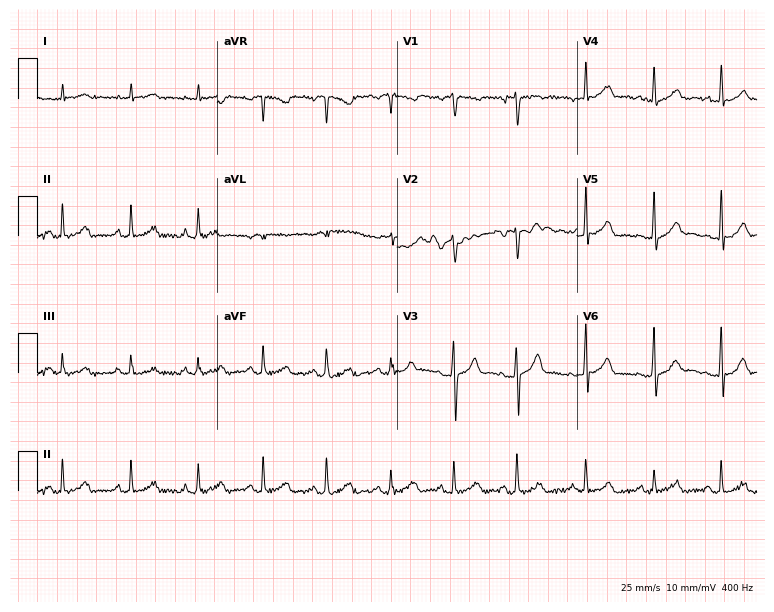
12-lead ECG (7.3-second recording at 400 Hz) from a 29-year-old male patient. Labelled as a normal ECG.